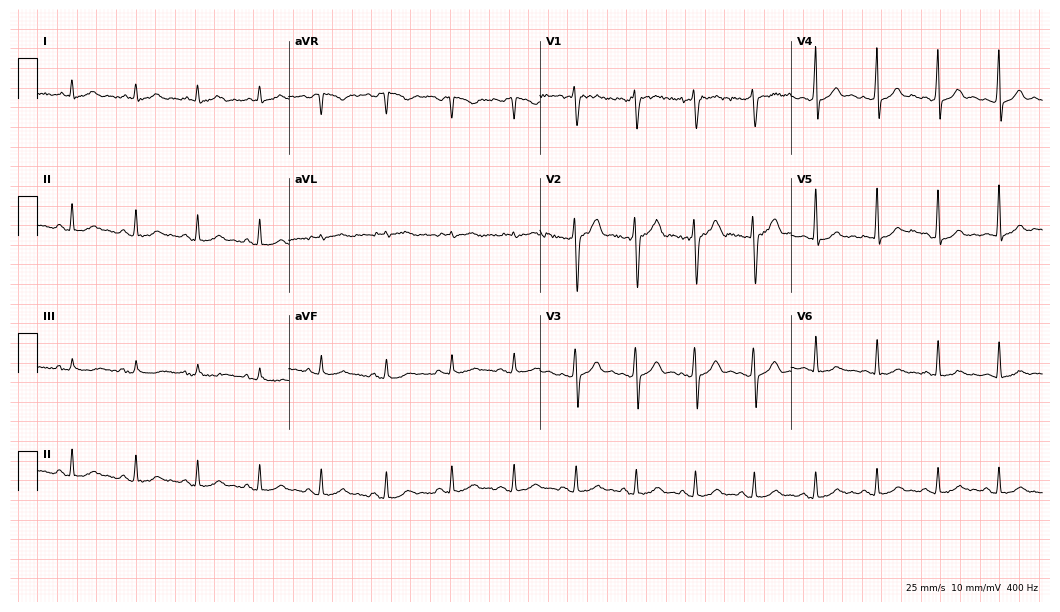
12-lead ECG from a 36-year-old male patient. Screened for six findings — first-degree AV block, right bundle branch block, left bundle branch block, sinus bradycardia, atrial fibrillation, sinus tachycardia — none is recorded.